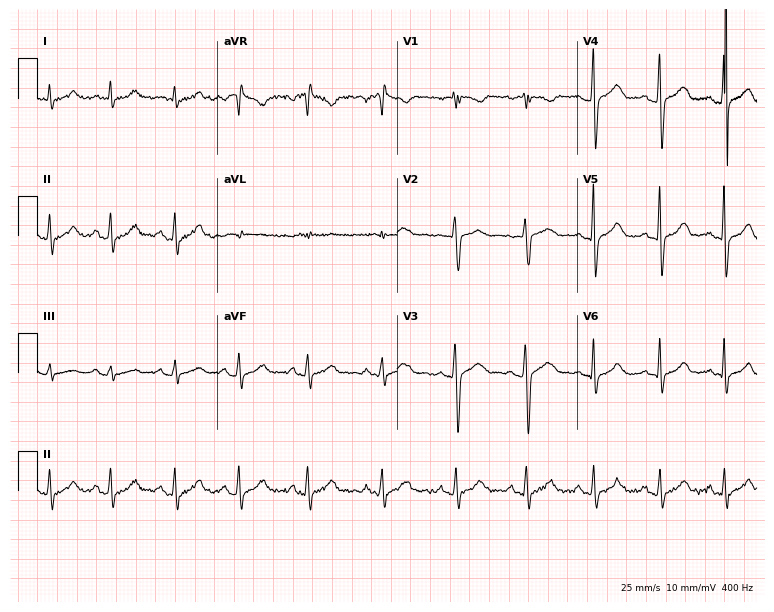
12-lead ECG from a female patient, 36 years old. No first-degree AV block, right bundle branch block, left bundle branch block, sinus bradycardia, atrial fibrillation or sinus tachycardia recorded for this tracing.